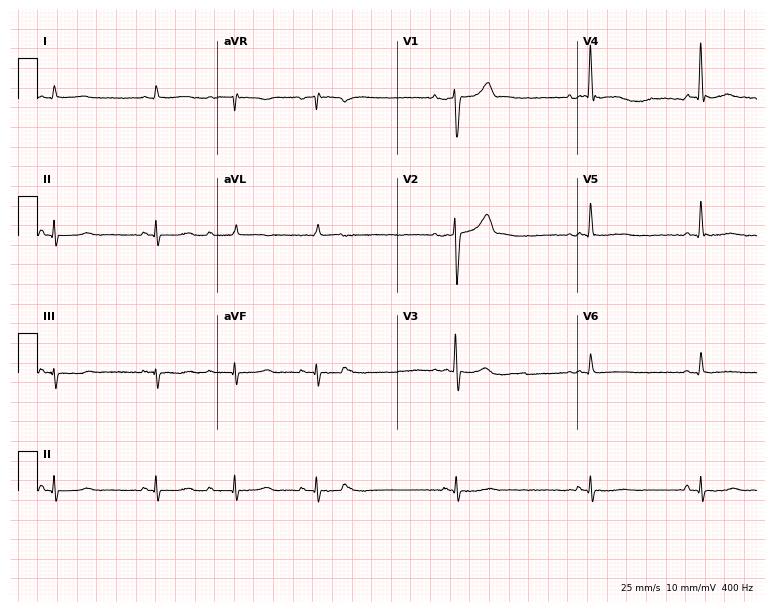
Resting 12-lead electrocardiogram. Patient: a male, 84 years old. None of these six findings is recorded: first-degree AV block, right bundle branch block, left bundle branch block, sinus bradycardia, atrial fibrillation, sinus tachycardia. Other findings, if any, are not listed.